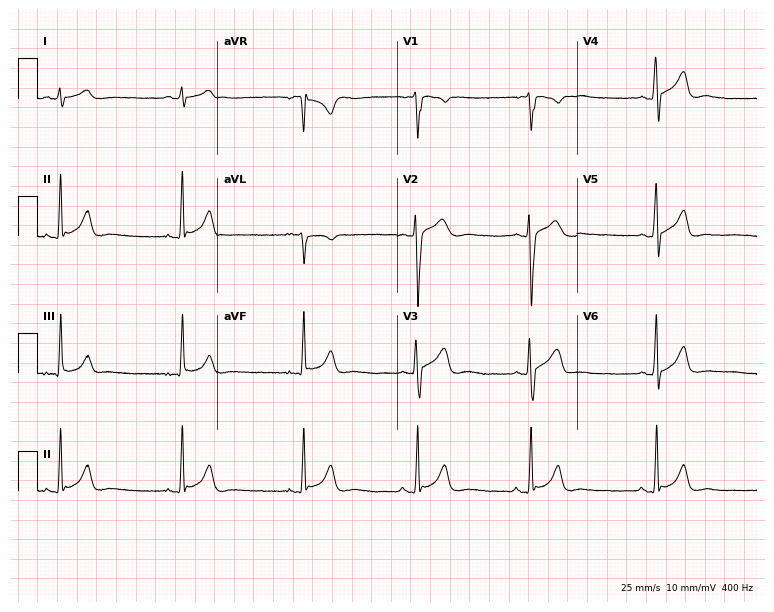
Resting 12-lead electrocardiogram. Patient: a 17-year-old male. The tracing shows sinus bradycardia (a sinus rate of 50 beats per minute or less).